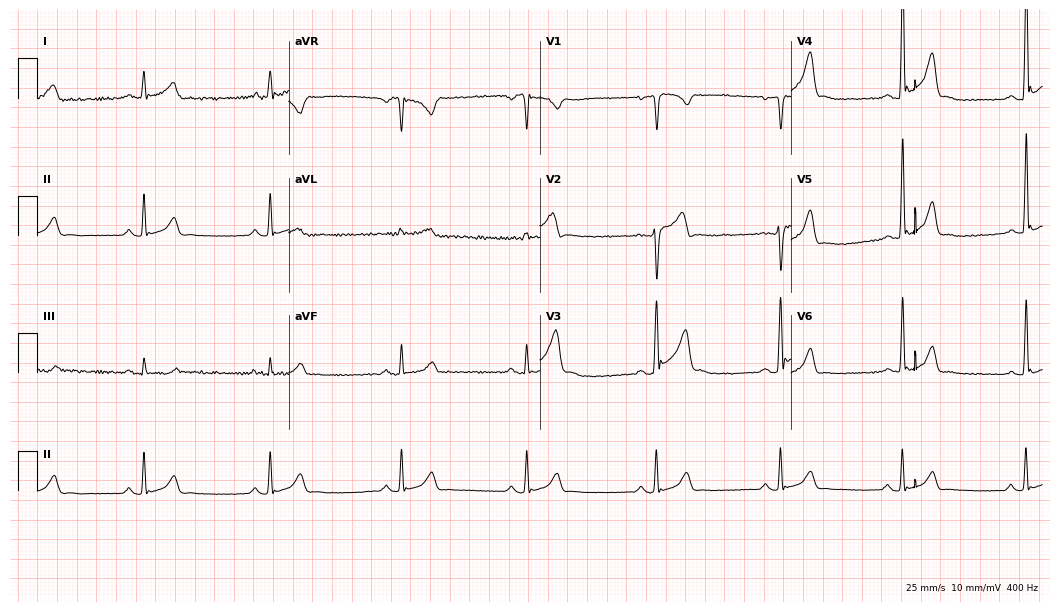
Standard 12-lead ECG recorded from a 34-year-old man. The tracing shows sinus bradycardia (a sinus rate of 50 beats per minute or less).